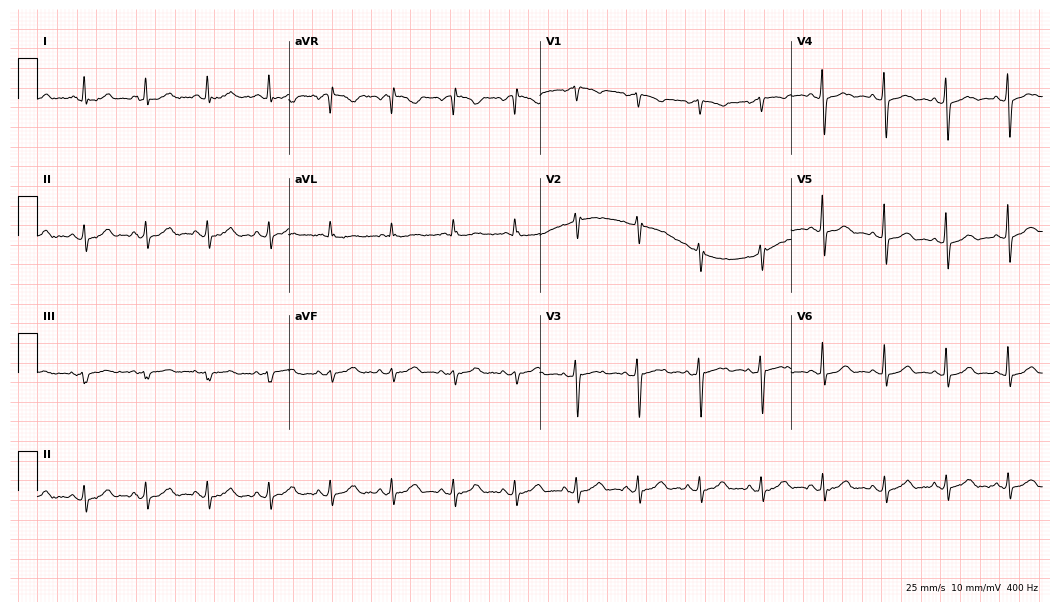
ECG (10.2-second recording at 400 Hz) — a 69-year-old woman. Labelled as a normal ECG.